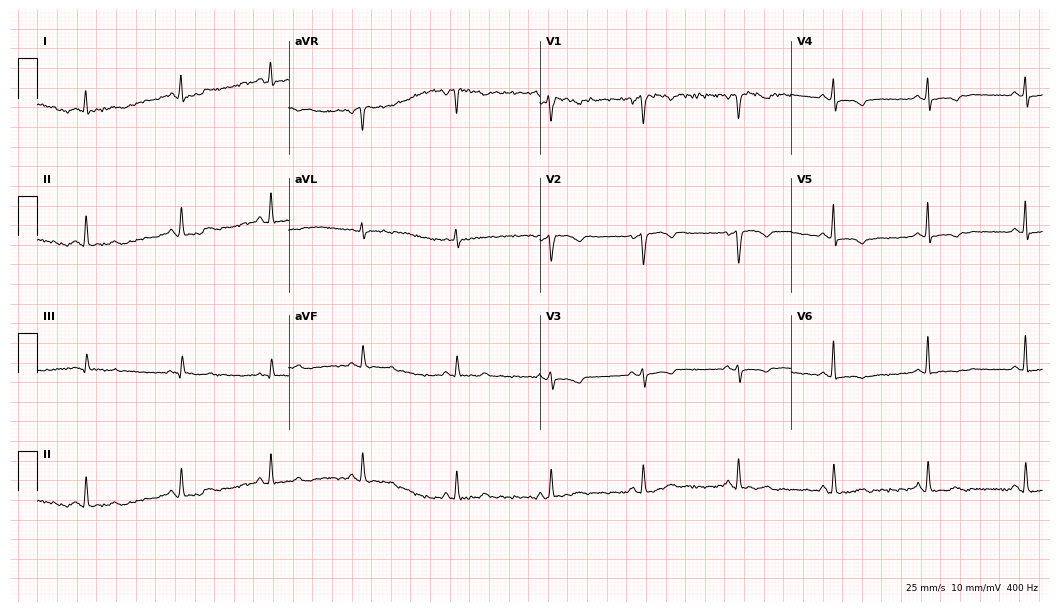
12-lead ECG from a 45-year-old female patient (10.2-second recording at 400 Hz). No first-degree AV block, right bundle branch block (RBBB), left bundle branch block (LBBB), sinus bradycardia, atrial fibrillation (AF) or sinus tachycardia recorded for this tracing. Other findings, if any, are not listed.